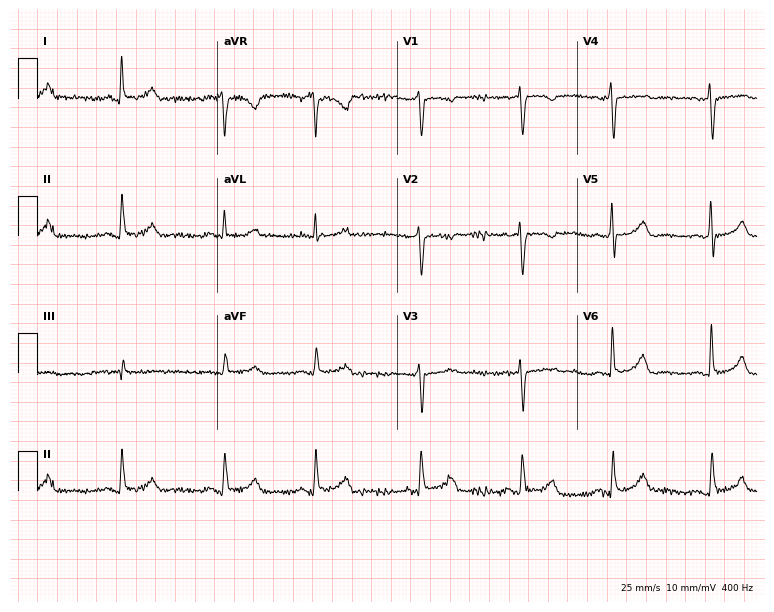
12-lead ECG from a 52-year-old woman. No first-degree AV block, right bundle branch block, left bundle branch block, sinus bradycardia, atrial fibrillation or sinus tachycardia recorded for this tracing. Other findings, if any, are not listed.